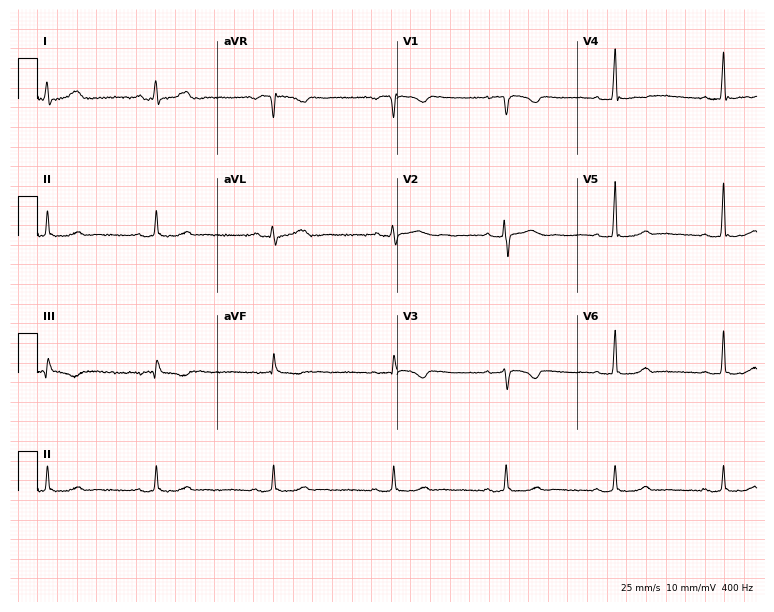
Electrocardiogram (7.3-second recording at 400 Hz), a female patient, 26 years old. Of the six screened findings (first-degree AV block, right bundle branch block, left bundle branch block, sinus bradycardia, atrial fibrillation, sinus tachycardia), none is recorded. Other findings, if any, are not listed.